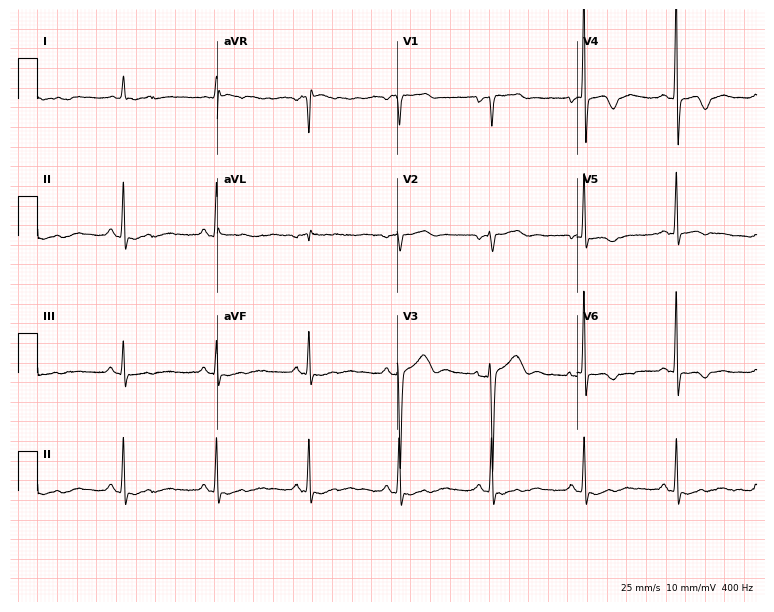
Resting 12-lead electrocardiogram (7.3-second recording at 400 Hz). Patient: a woman, 79 years old. None of these six findings is recorded: first-degree AV block, right bundle branch block, left bundle branch block, sinus bradycardia, atrial fibrillation, sinus tachycardia.